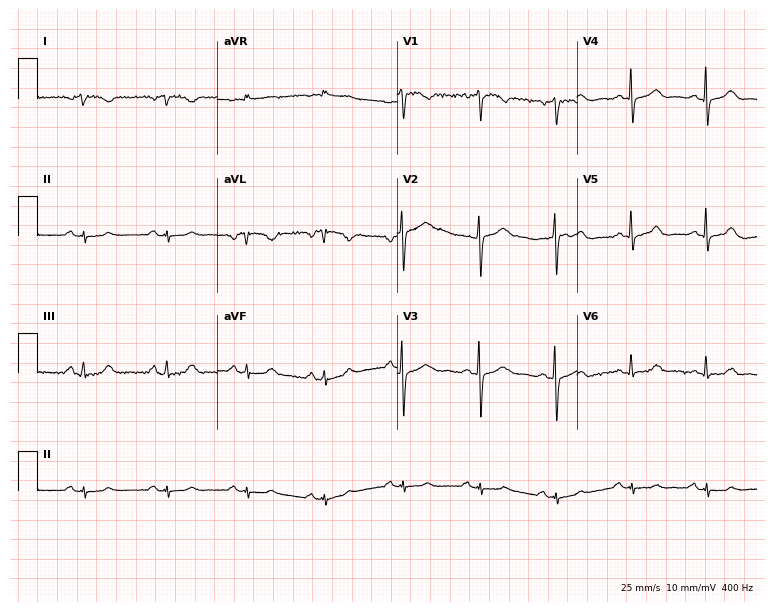
ECG — a 57-year-old woman. Screened for six findings — first-degree AV block, right bundle branch block, left bundle branch block, sinus bradycardia, atrial fibrillation, sinus tachycardia — none is recorded. Findings outside these six are not listed.